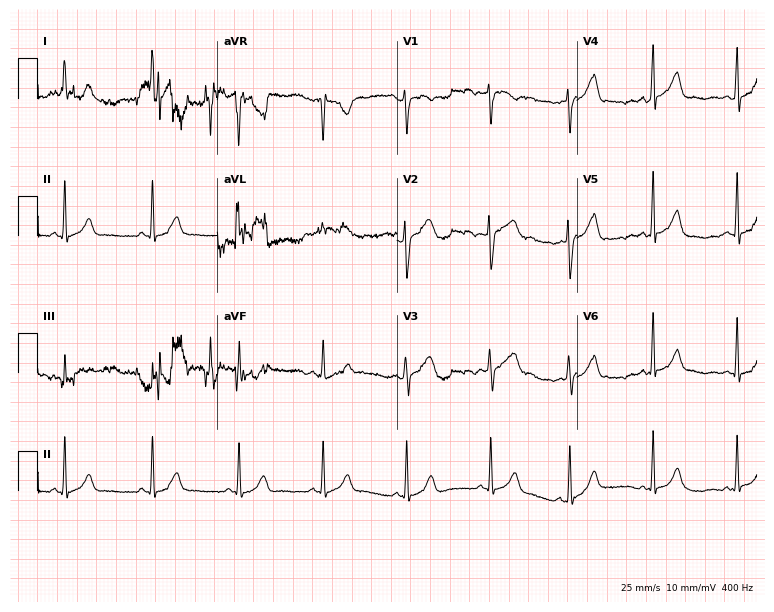
12-lead ECG from a woman, 19 years old. Screened for six findings — first-degree AV block, right bundle branch block (RBBB), left bundle branch block (LBBB), sinus bradycardia, atrial fibrillation (AF), sinus tachycardia — none is recorded.